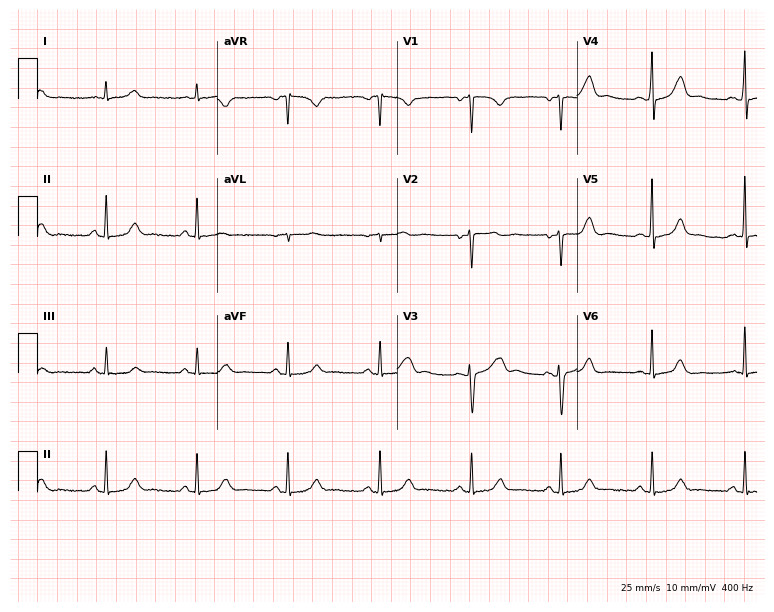
ECG — a 43-year-old female patient. Screened for six findings — first-degree AV block, right bundle branch block, left bundle branch block, sinus bradycardia, atrial fibrillation, sinus tachycardia — none is recorded. Other findings, if any, are not listed.